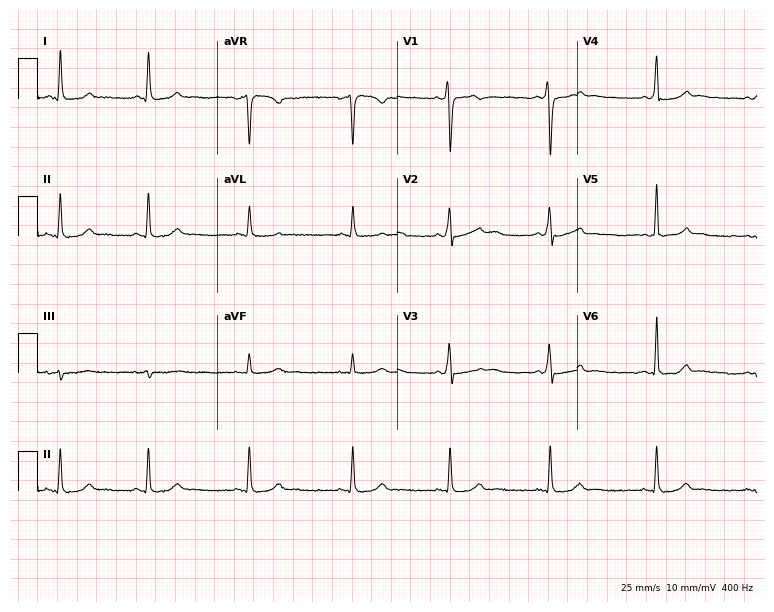
Resting 12-lead electrocardiogram. Patient: a woman, 25 years old. Read as a normal ECG.